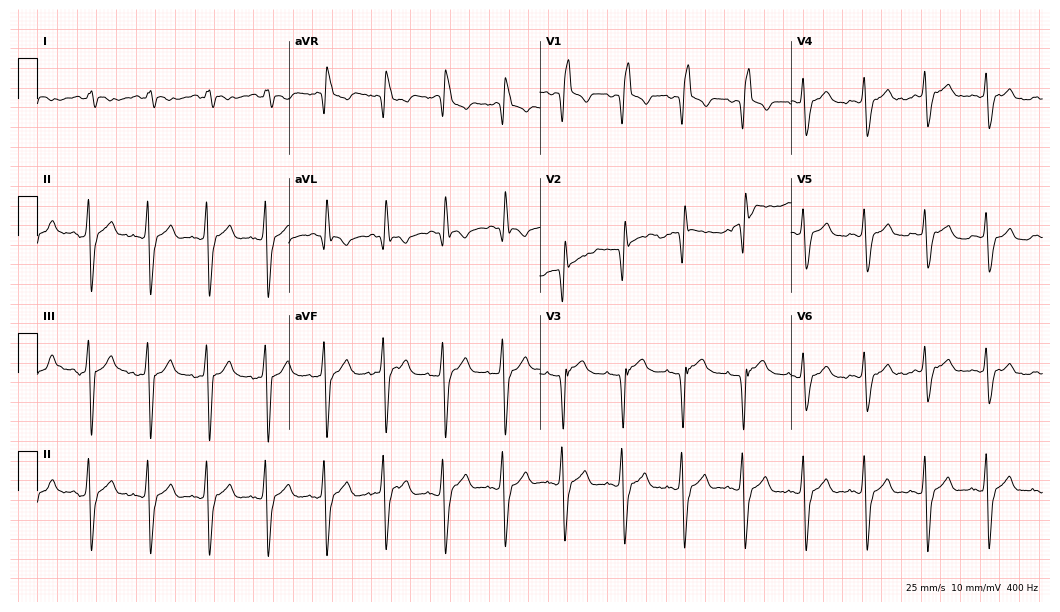
12-lead ECG from a male patient, 45 years old. No first-degree AV block, right bundle branch block (RBBB), left bundle branch block (LBBB), sinus bradycardia, atrial fibrillation (AF) or sinus tachycardia recorded for this tracing.